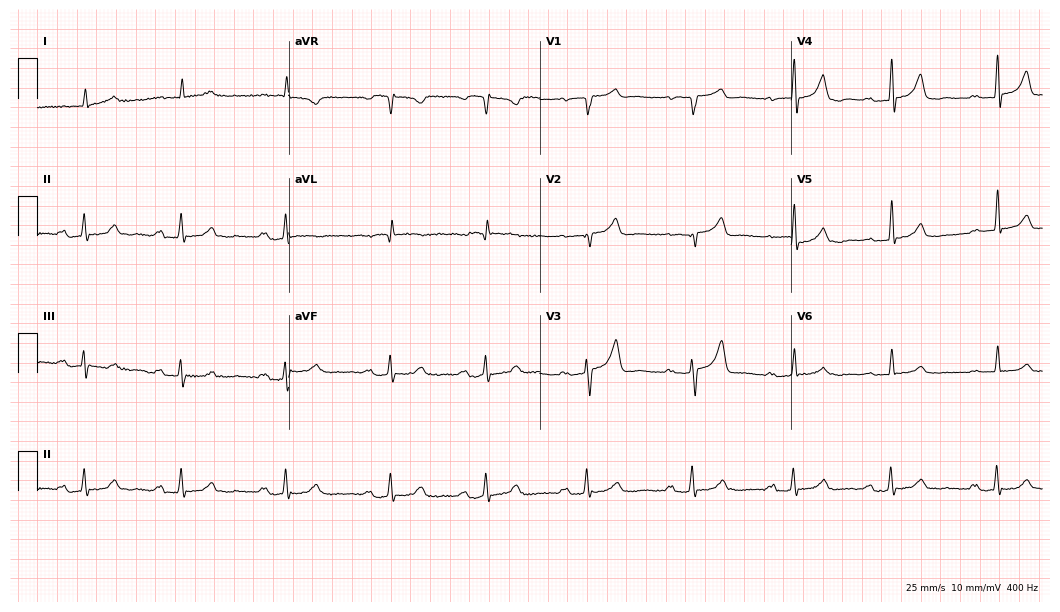
ECG (10.2-second recording at 400 Hz) — a male, 76 years old. Findings include first-degree AV block.